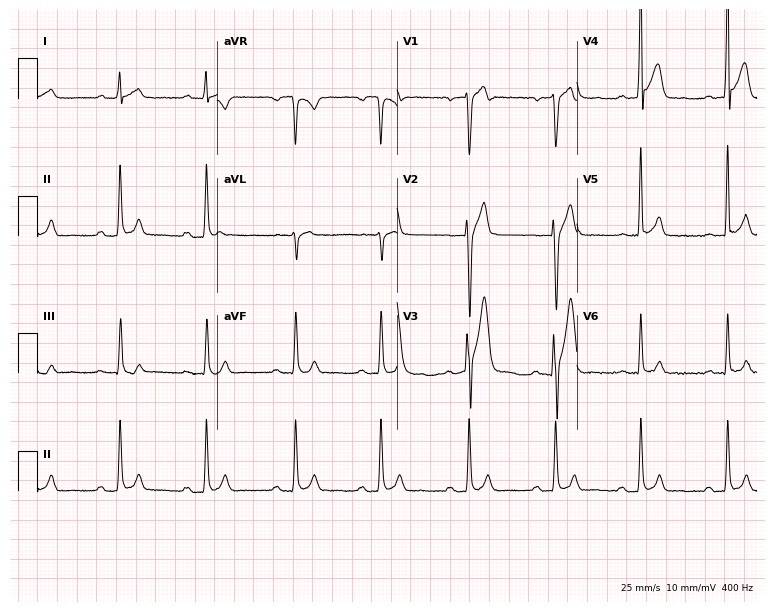
Standard 12-lead ECG recorded from a female, 35 years old (7.3-second recording at 400 Hz). None of these six findings is recorded: first-degree AV block, right bundle branch block, left bundle branch block, sinus bradycardia, atrial fibrillation, sinus tachycardia.